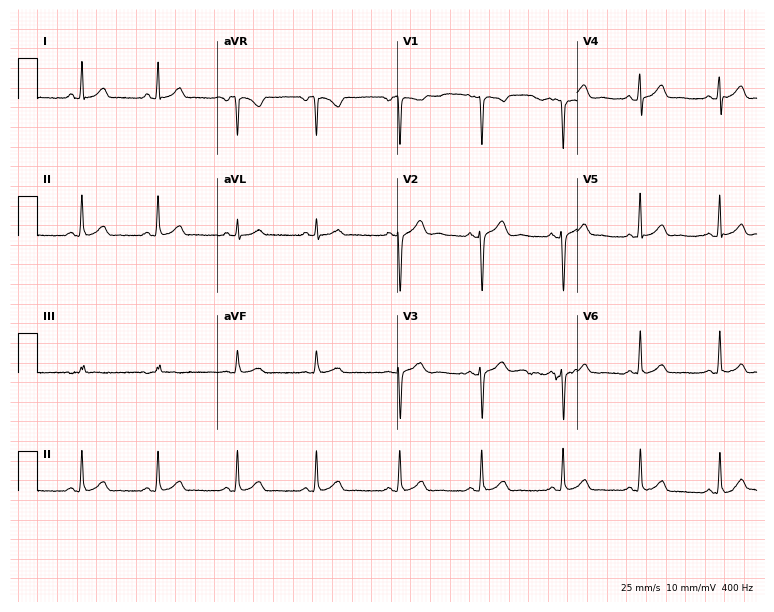
Standard 12-lead ECG recorded from a 31-year-old female (7.3-second recording at 400 Hz). Read as a normal ECG.